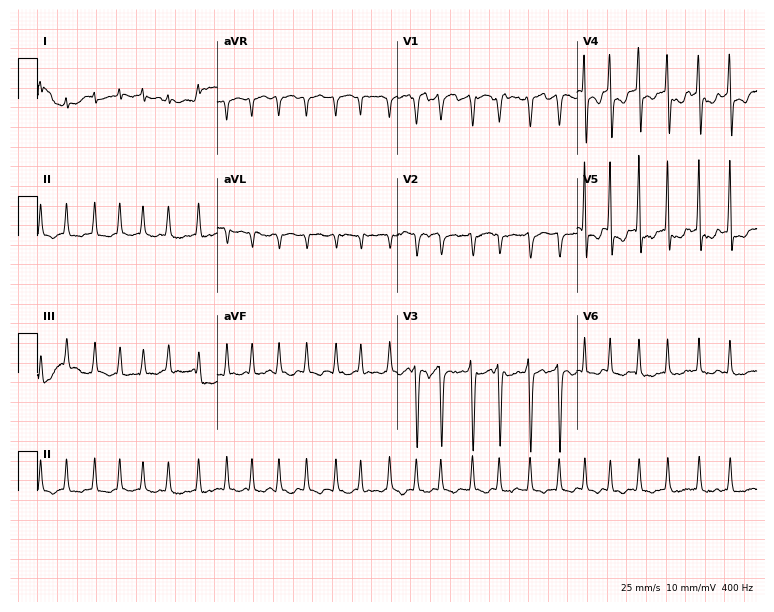
12-lead ECG from a woman, 65 years old (7.3-second recording at 400 Hz). Shows atrial fibrillation.